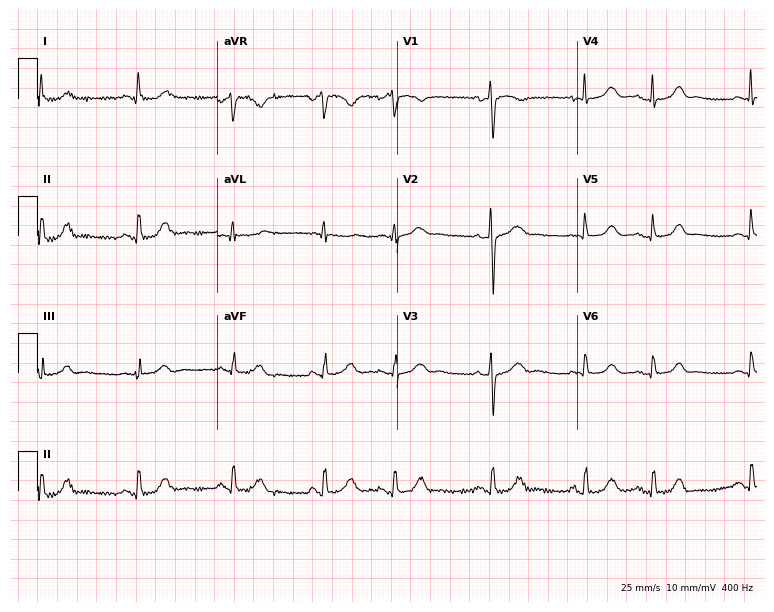
ECG — a 51-year-old woman. Labelled as a normal ECG.